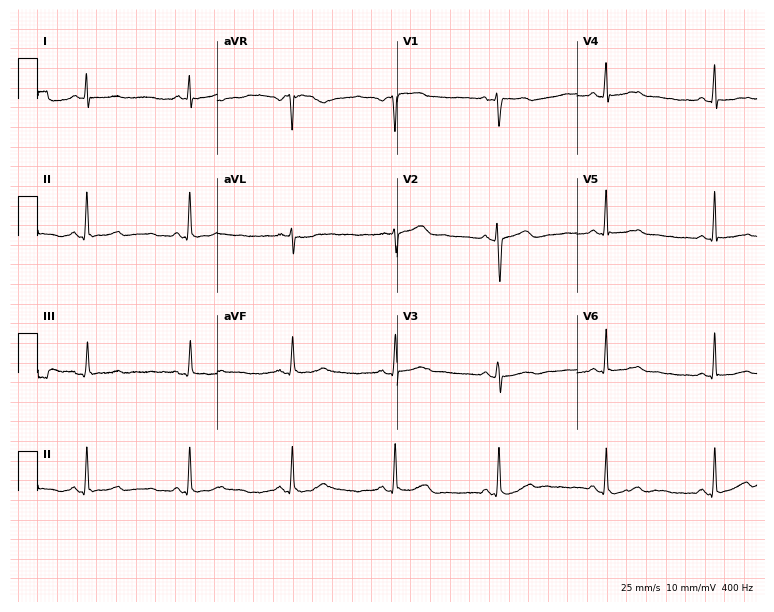
Electrocardiogram, a female patient, 54 years old. Overall reading on record: normal ECG.